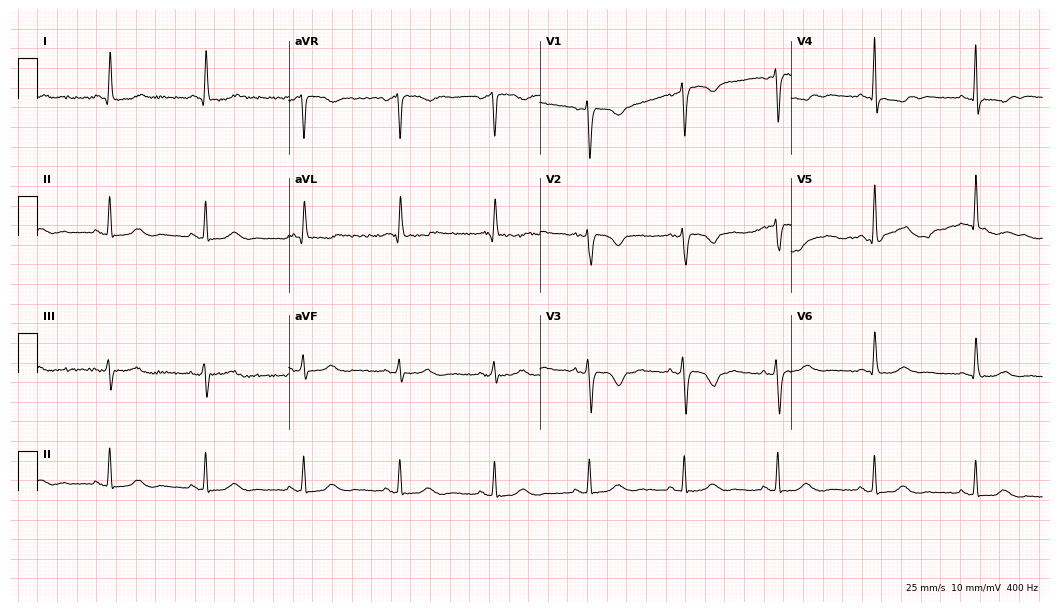
ECG (10.2-second recording at 400 Hz) — a female, 52 years old. Screened for six findings — first-degree AV block, right bundle branch block, left bundle branch block, sinus bradycardia, atrial fibrillation, sinus tachycardia — none is recorded. Other findings, if any, are not listed.